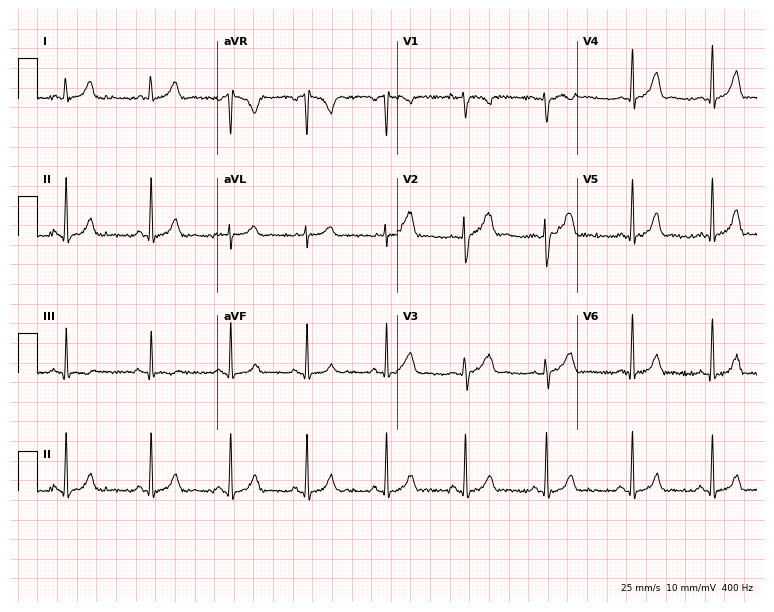
ECG (7.3-second recording at 400 Hz) — a woman, 20 years old. Screened for six findings — first-degree AV block, right bundle branch block (RBBB), left bundle branch block (LBBB), sinus bradycardia, atrial fibrillation (AF), sinus tachycardia — none is recorded.